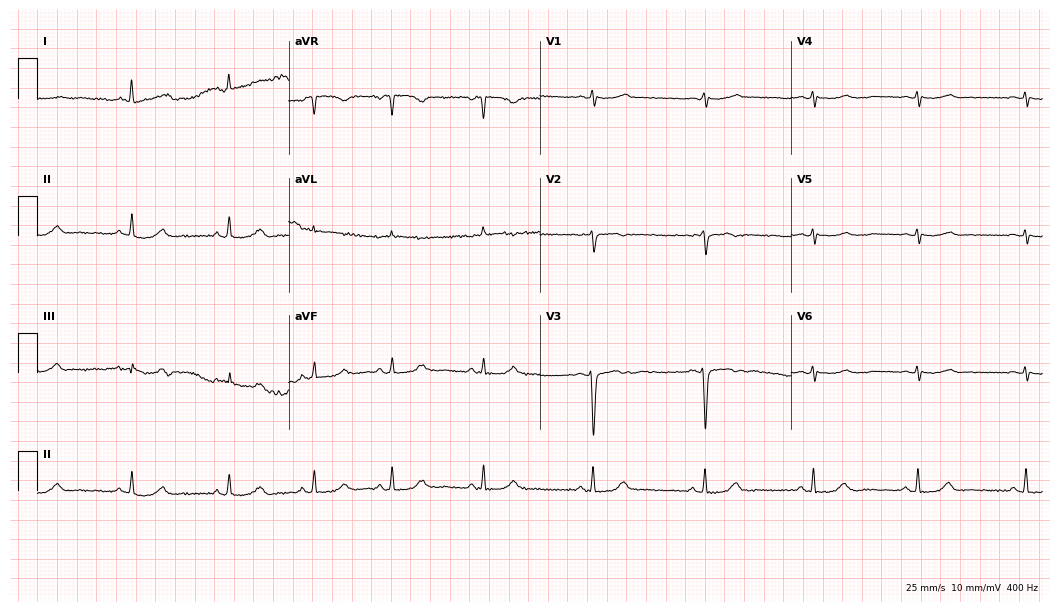
Resting 12-lead electrocardiogram. Patient: a 41-year-old woman. None of these six findings is recorded: first-degree AV block, right bundle branch block, left bundle branch block, sinus bradycardia, atrial fibrillation, sinus tachycardia.